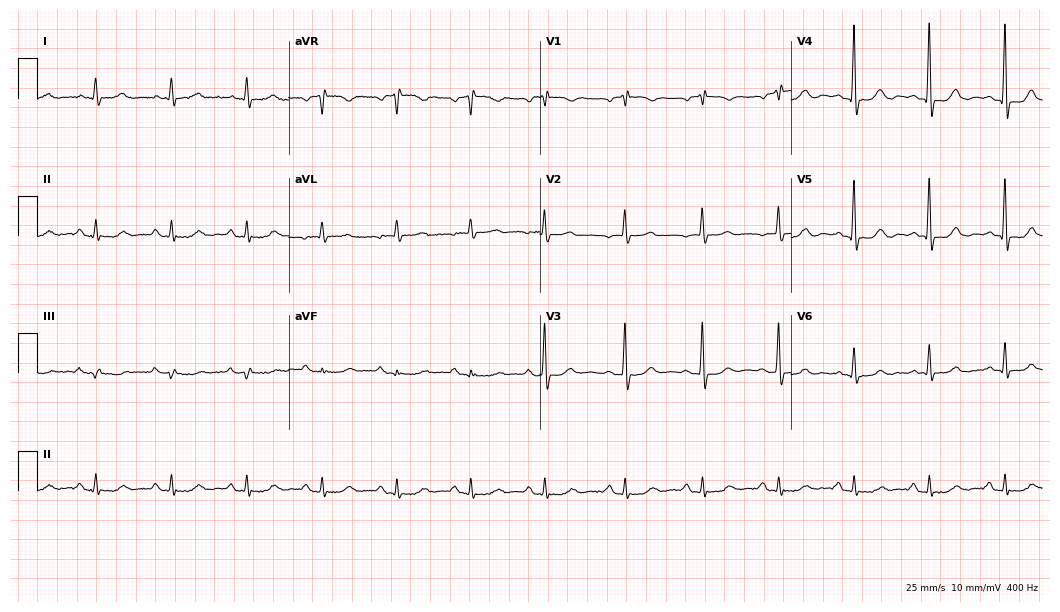
ECG — a 68-year-old female. Screened for six findings — first-degree AV block, right bundle branch block (RBBB), left bundle branch block (LBBB), sinus bradycardia, atrial fibrillation (AF), sinus tachycardia — none is recorded. Only these six findings were labelled.